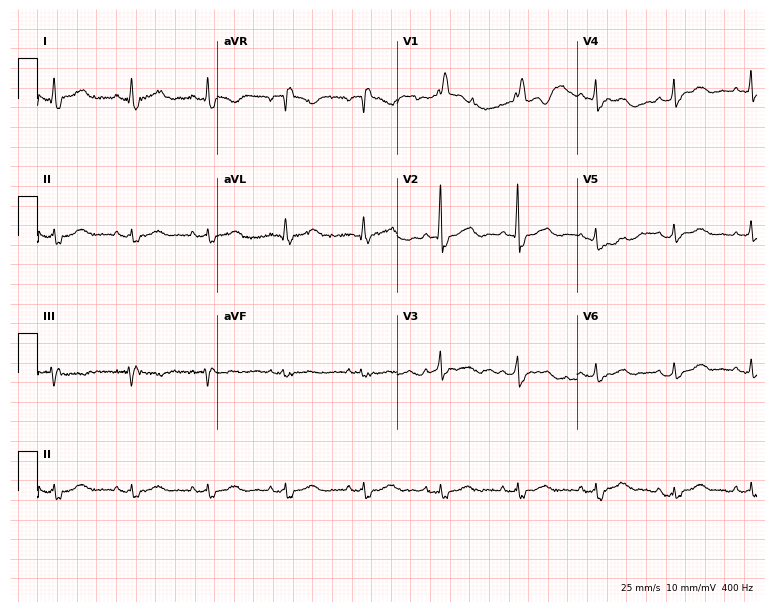
Standard 12-lead ECG recorded from a 64-year-old female (7.3-second recording at 400 Hz). None of these six findings is recorded: first-degree AV block, right bundle branch block (RBBB), left bundle branch block (LBBB), sinus bradycardia, atrial fibrillation (AF), sinus tachycardia.